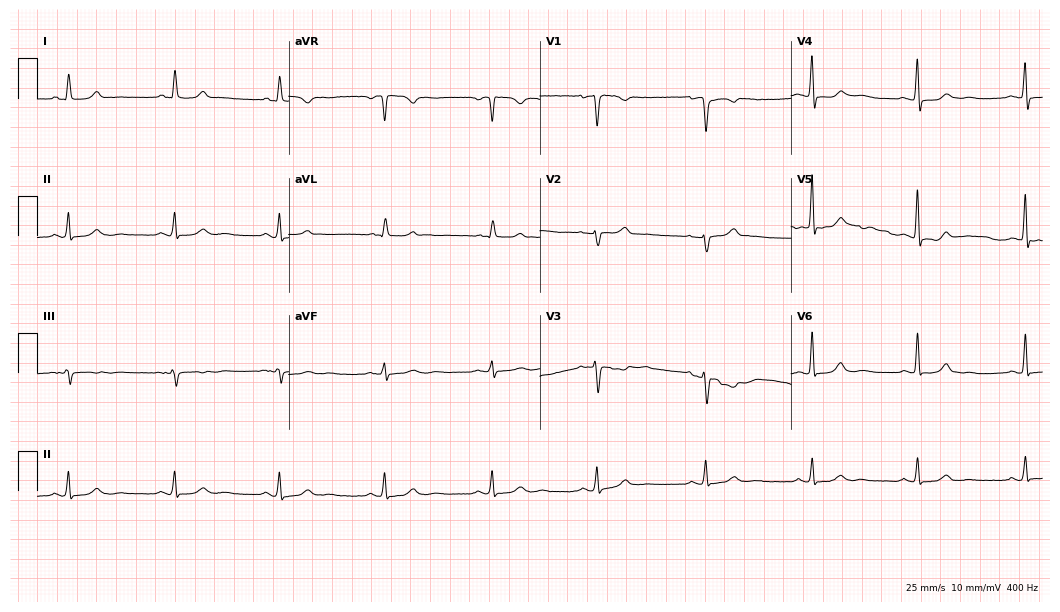
Resting 12-lead electrocardiogram (10.2-second recording at 400 Hz). Patient: a woman, 60 years old. Read as a normal ECG.